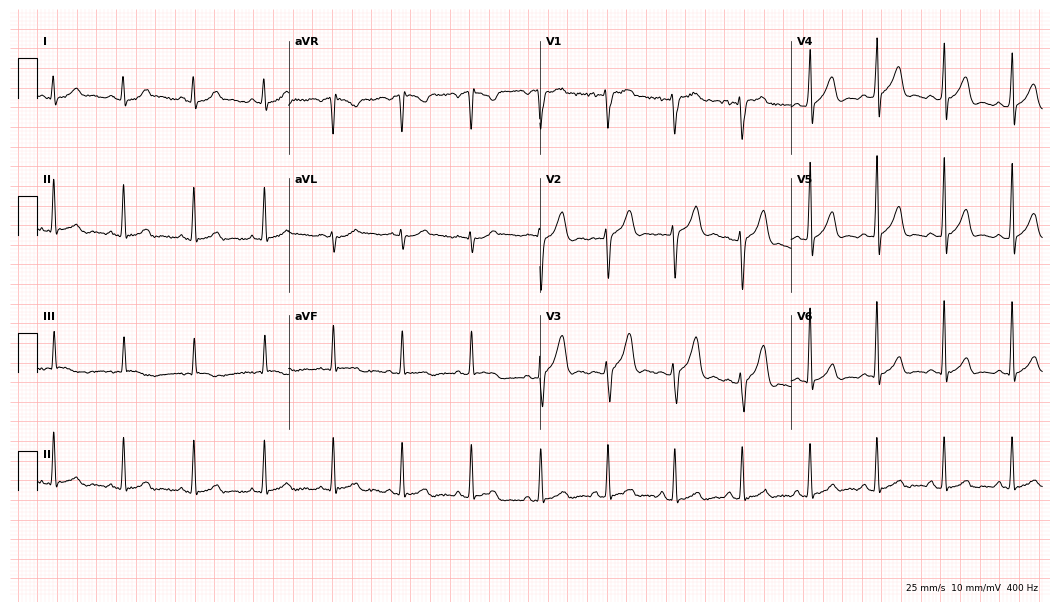
Standard 12-lead ECG recorded from a man, 22 years old. Read as a normal ECG.